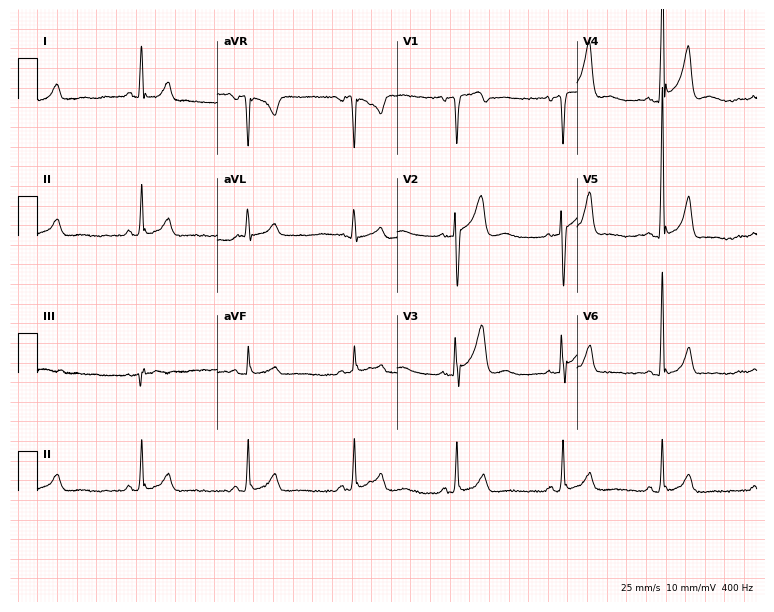
12-lead ECG from a male patient, 40 years old. No first-degree AV block, right bundle branch block, left bundle branch block, sinus bradycardia, atrial fibrillation or sinus tachycardia recorded for this tracing. Other findings, if any, are not listed.